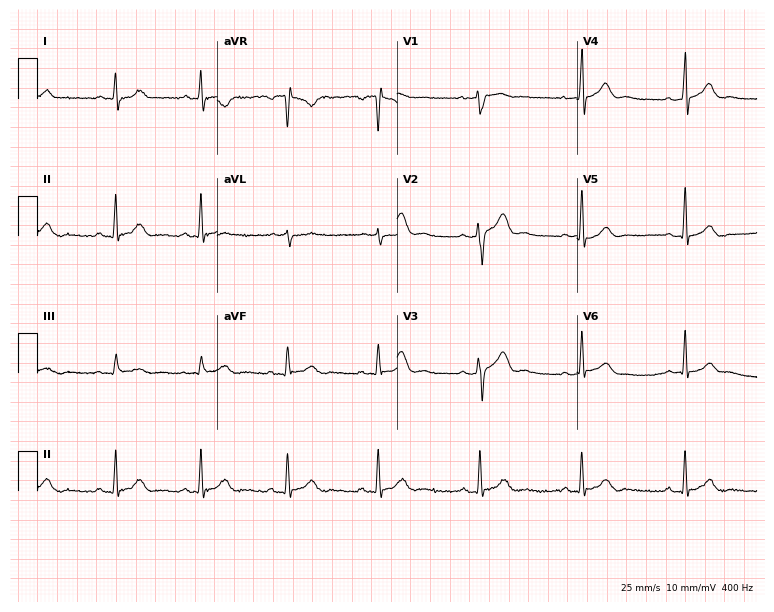
12-lead ECG from a 32-year-old male. Recorded interpretation: within normal limits.